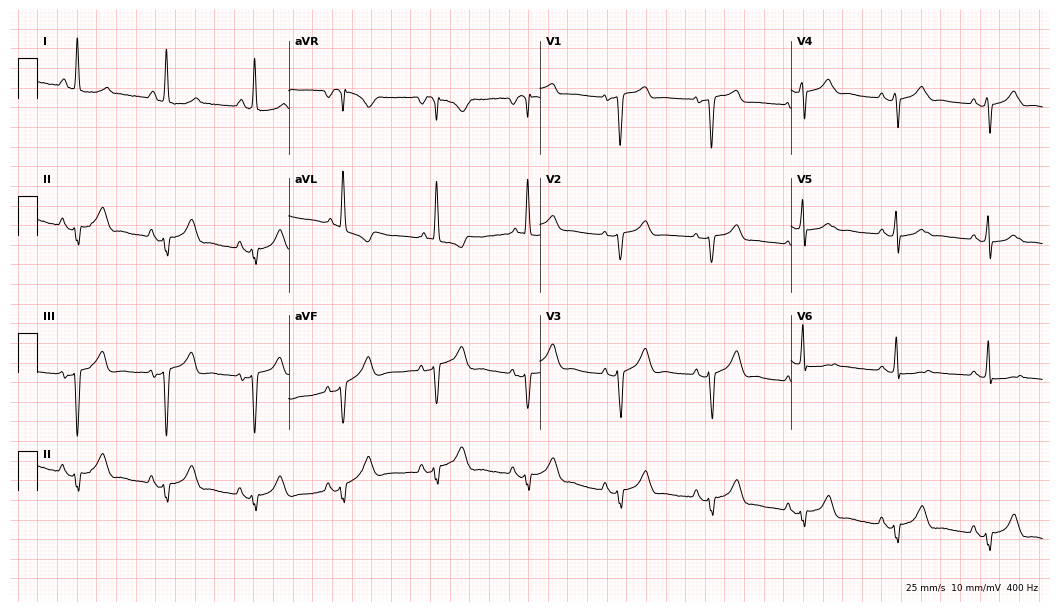
Standard 12-lead ECG recorded from an 82-year-old woman (10.2-second recording at 400 Hz). None of these six findings is recorded: first-degree AV block, right bundle branch block (RBBB), left bundle branch block (LBBB), sinus bradycardia, atrial fibrillation (AF), sinus tachycardia.